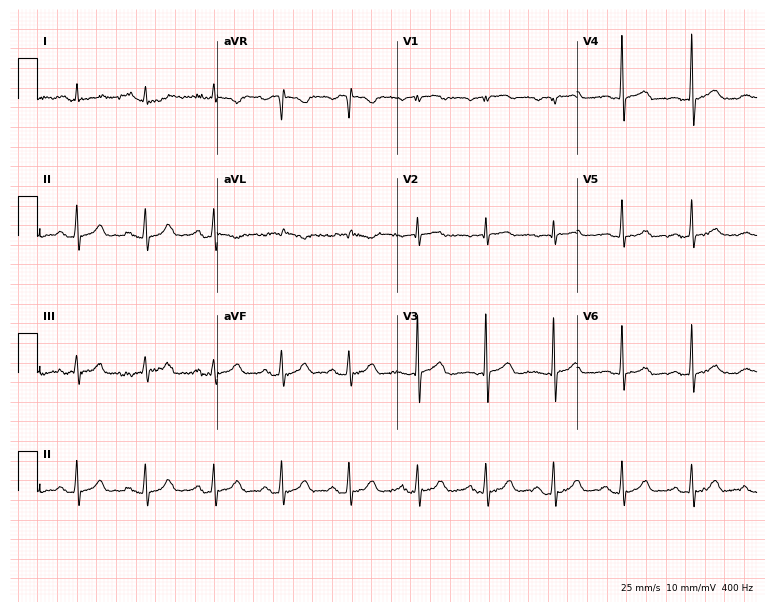
Resting 12-lead electrocardiogram (7.3-second recording at 400 Hz). Patient: a man, 85 years old. Read as a normal ECG.